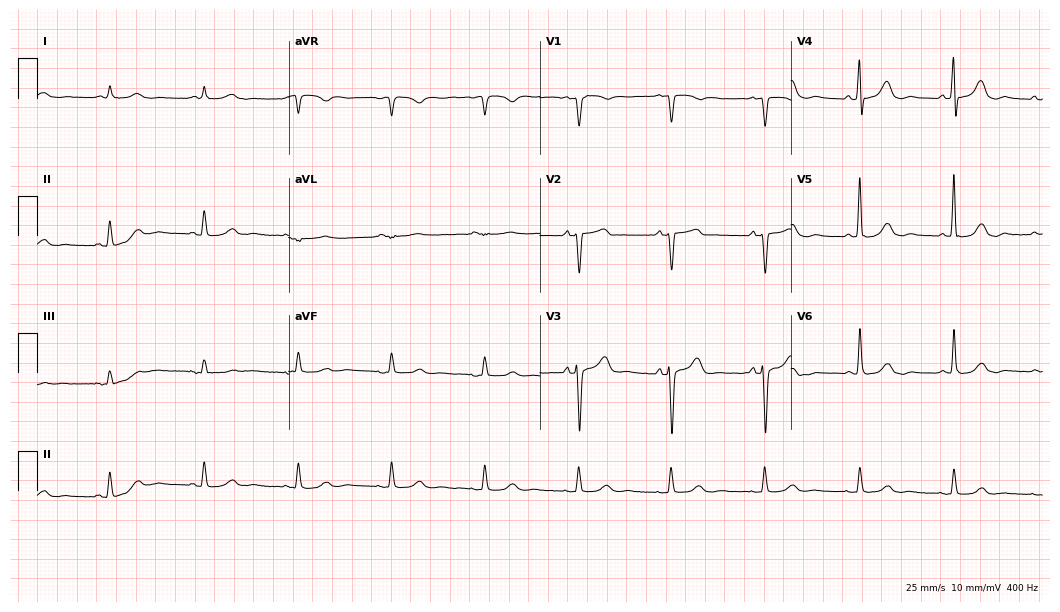
Electrocardiogram, a man, 85 years old. Overall reading on record: normal ECG.